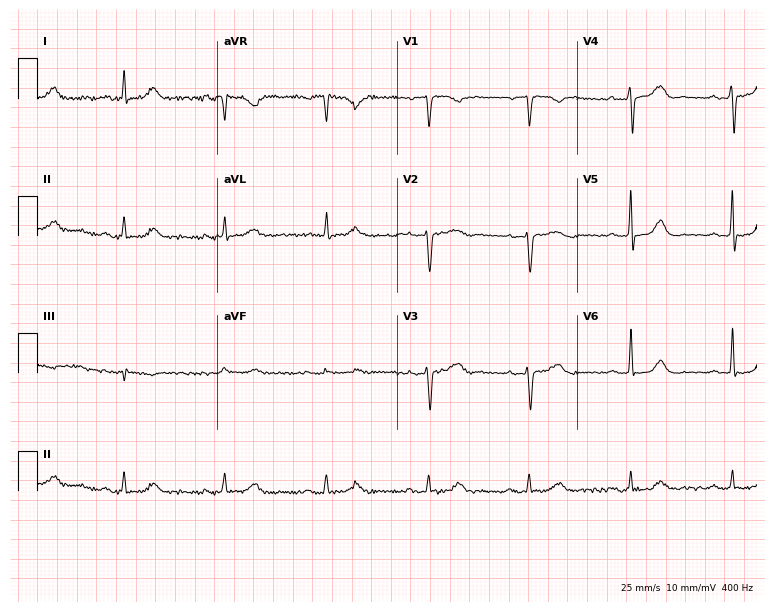
Standard 12-lead ECG recorded from a woman, 68 years old. None of these six findings is recorded: first-degree AV block, right bundle branch block, left bundle branch block, sinus bradycardia, atrial fibrillation, sinus tachycardia.